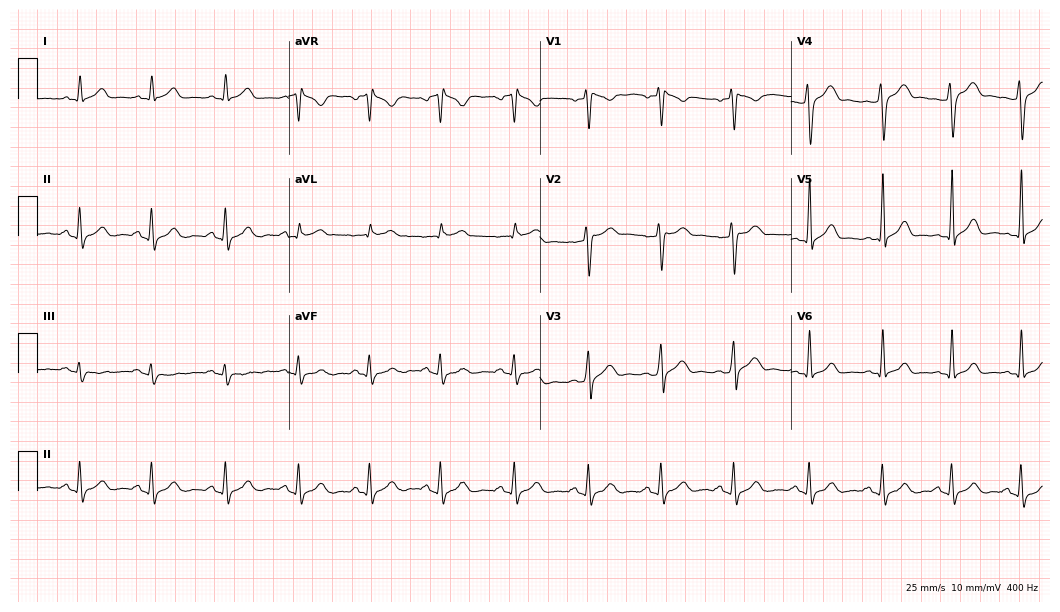
Resting 12-lead electrocardiogram (10.2-second recording at 400 Hz). Patient: a male, 31 years old. None of these six findings is recorded: first-degree AV block, right bundle branch block, left bundle branch block, sinus bradycardia, atrial fibrillation, sinus tachycardia.